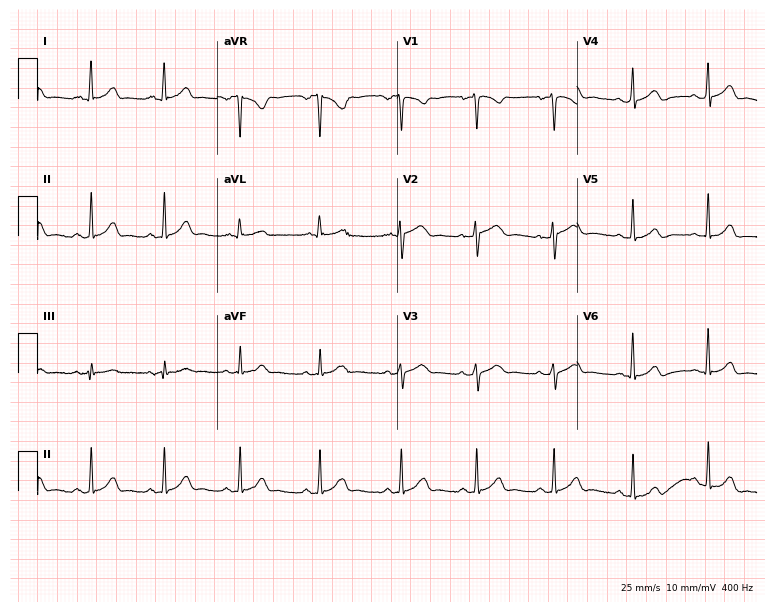
Electrocardiogram (7.3-second recording at 400 Hz), a female patient, 41 years old. Overall reading on record: normal ECG.